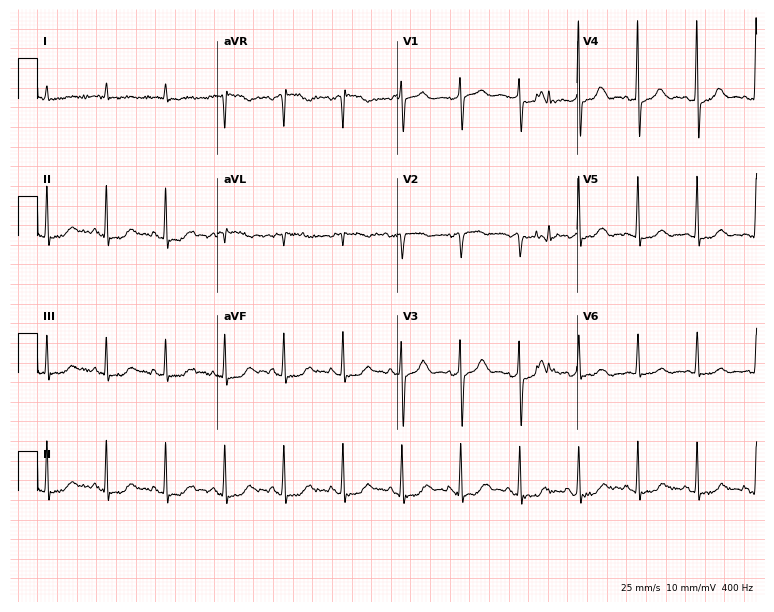
12-lead ECG from a woman, 81 years old. Screened for six findings — first-degree AV block, right bundle branch block, left bundle branch block, sinus bradycardia, atrial fibrillation, sinus tachycardia — none is recorded. Other findings, if any, are not listed.